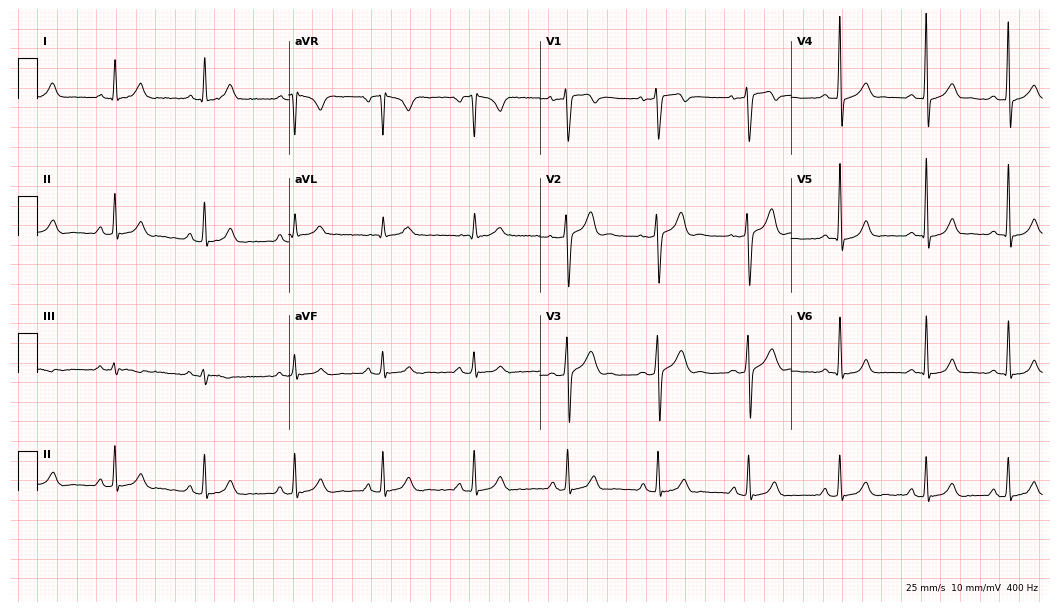
Standard 12-lead ECG recorded from a male patient, 30 years old (10.2-second recording at 400 Hz). Read as a normal ECG.